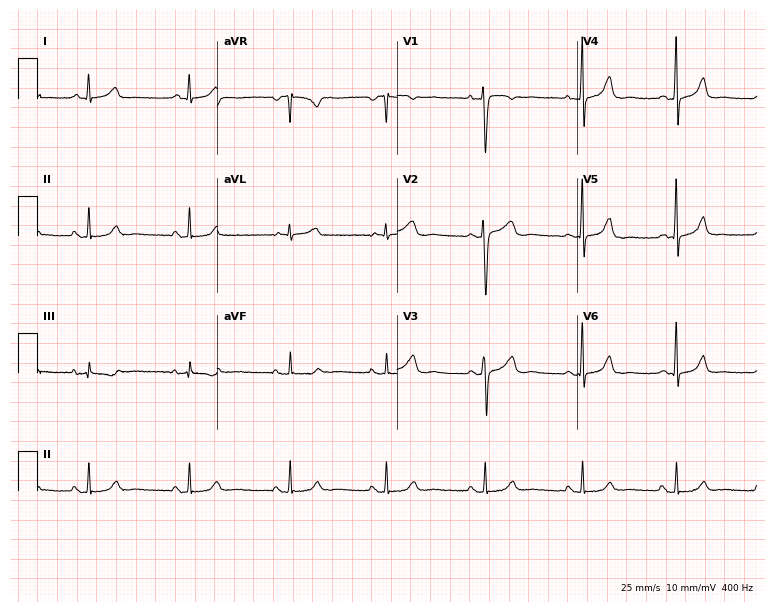
Electrocardiogram (7.3-second recording at 400 Hz), a 49-year-old female. Of the six screened findings (first-degree AV block, right bundle branch block, left bundle branch block, sinus bradycardia, atrial fibrillation, sinus tachycardia), none is recorded. Other findings, if any, are not listed.